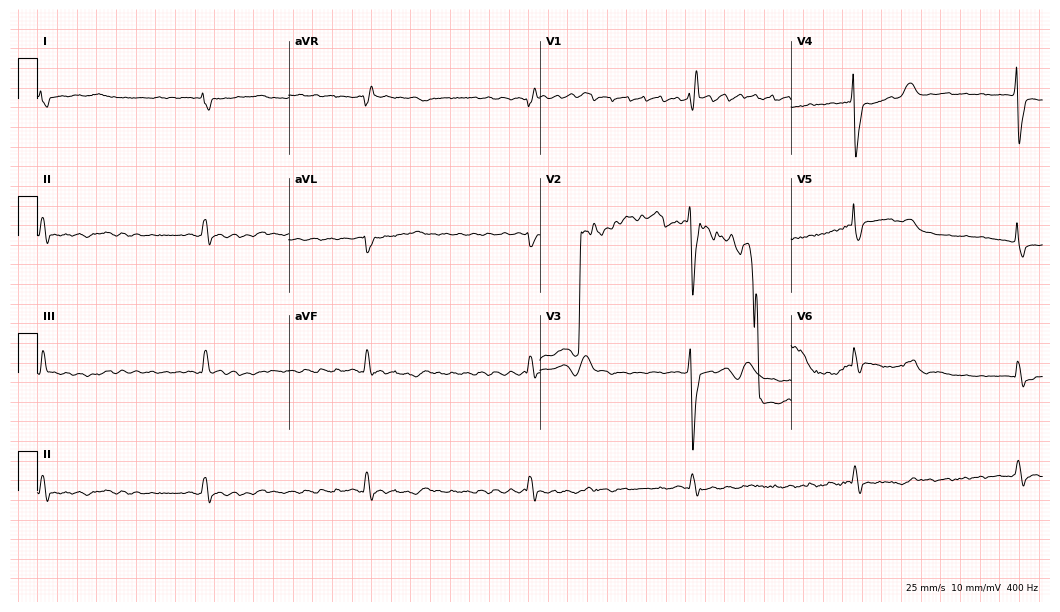
12-lead ECG from a man, 78 years old. Screened for six findings — first-degree AV block, right bundle branch block (RBBB), left bundle branch block (LBBB), sinus bradycardia, atrial fibrillation (AF), sinus tachycardia — none is recorded. Only these six findings were labelled.